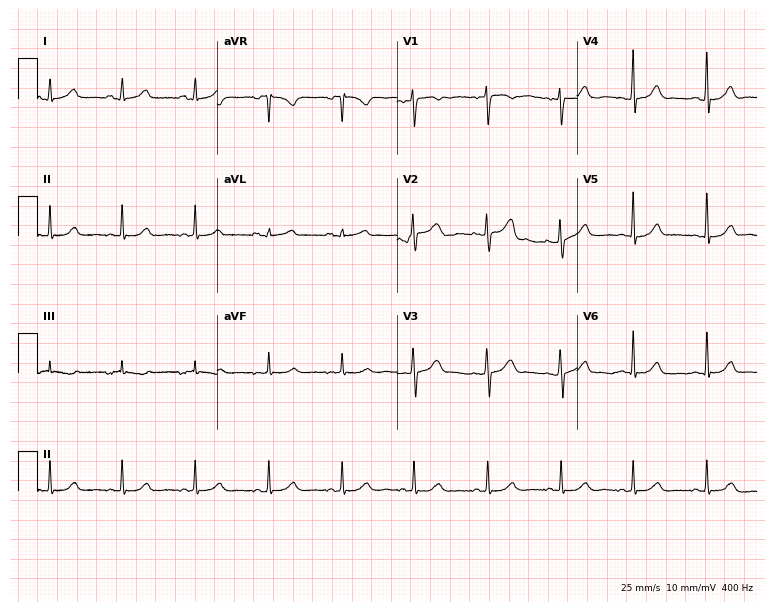
ECG — a female patient, 40 years old. Labelled as a normal ECG.